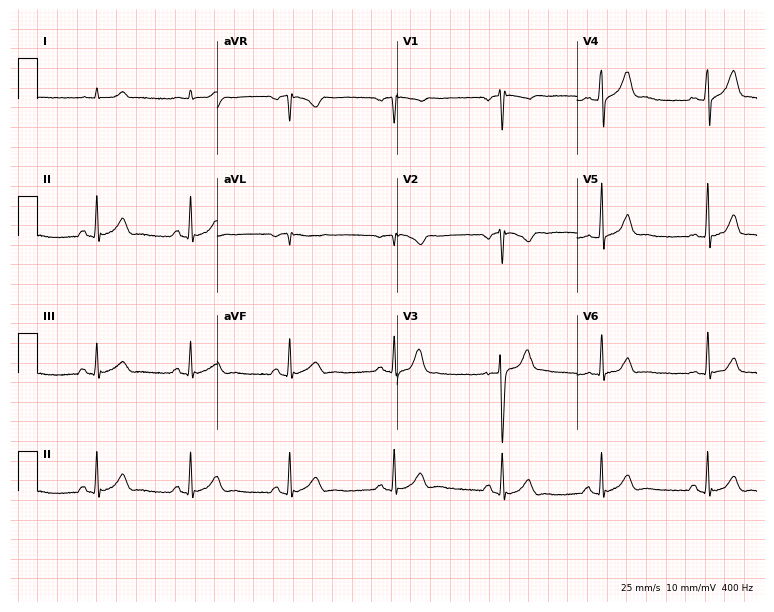
12-lead ECG (7.3-second recording at 400 Hz) from a 28-year-old male. Labelled as a normal ECG.